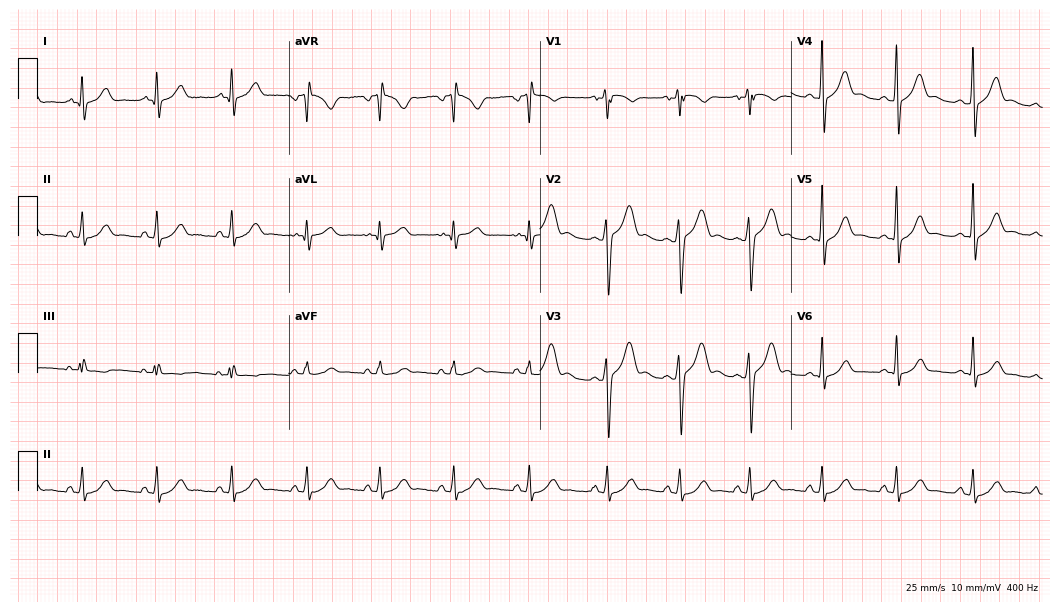
Standard 12-lead ECG recorded from a male, 30 years old. Read as a normal ECG.